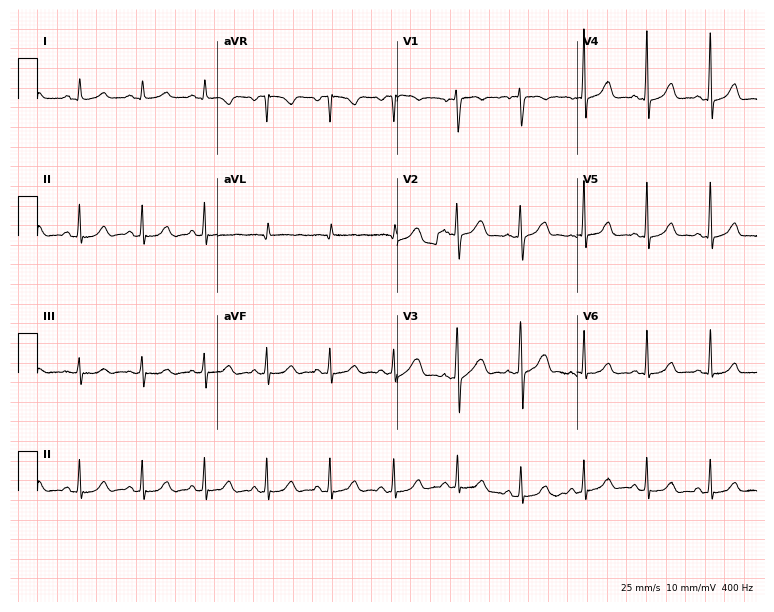
ECG — a 31-year-old female patient. Screened for six findings — first-degree AV block, right bundle branch block, left bundle branch block, sinus bradycardia, atrial fibrillation, sinus tachycardia — none is recorded.